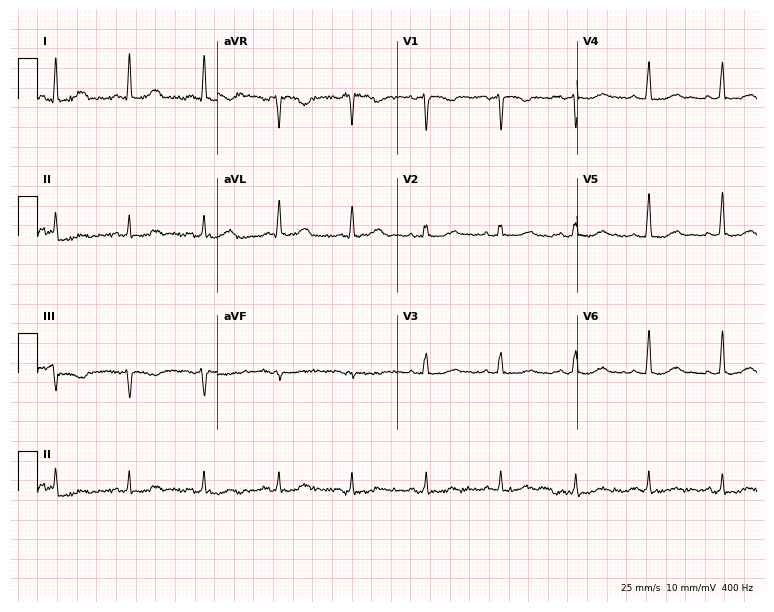
Electrocardiogram (7.3-second recording at 400 Hz), a 50-year-old female. Of the six screened findings (first-degree AV block, right bundle branch block (RBBB), left bundle branch block (LBBB), sinus bradycardia, atrial fibrillation (AF), sinus tachycardia), none is recorded. Only these six findings were labelled.